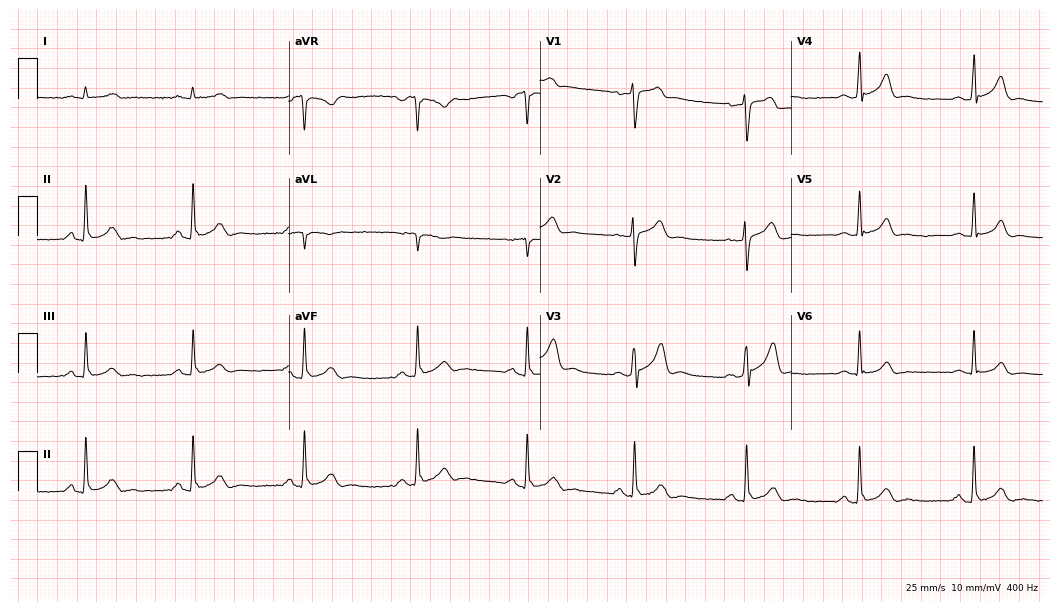
Standard 12-lead ECG recorded from a man, 44 years old. Read as a normal ECG.